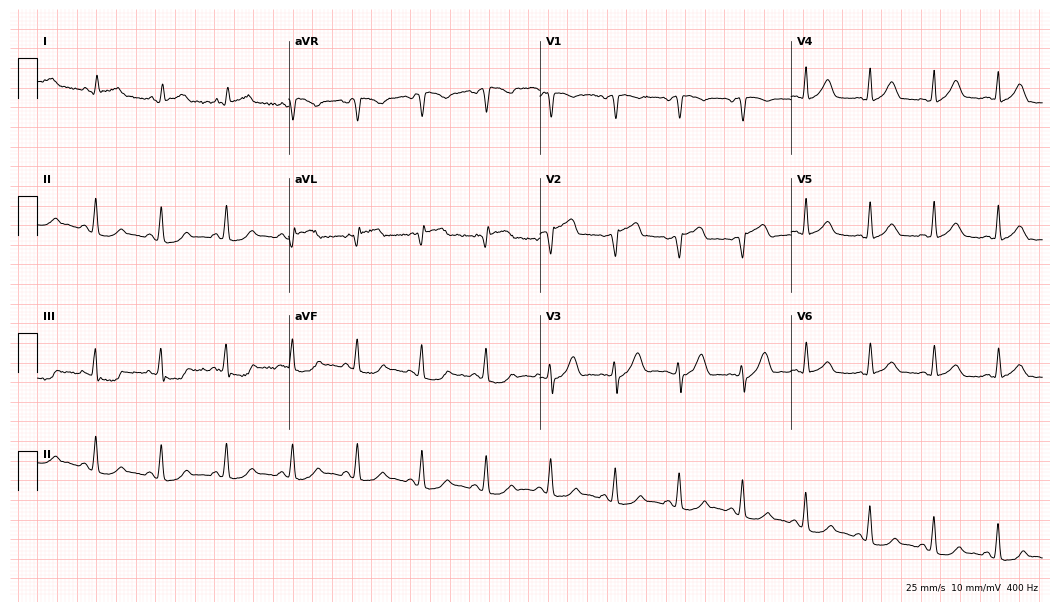
12-lead ECG (10.2-second recording at 400 Hz) from a male, 56 years old. Screened for six findings — first-degree AV block, right bundle branch block (RBBB), left bundle branch block (LBBB), sinus bradycardia, atrial fibrillation (AF), sinus tachycardia — none is recorded. Other findings, if any, are not listed.